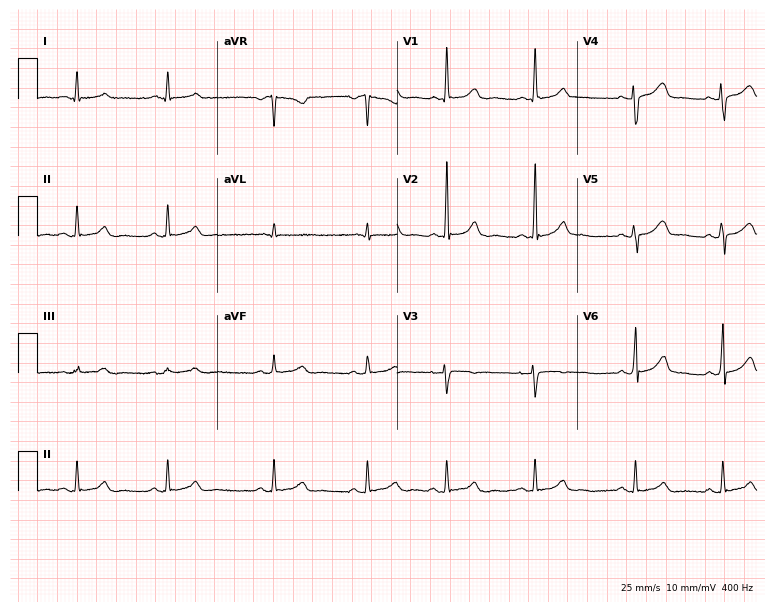
12-lead ECG from a 23-year-old woman. No first-degree AV block, right bundle branch block (RBBB), left bundle branch block (LBBB), sinus bradycardia, atrial fibrillation (AF) or sinus tachycardia recorded for this tracing. Other findings, if any, are not listed.